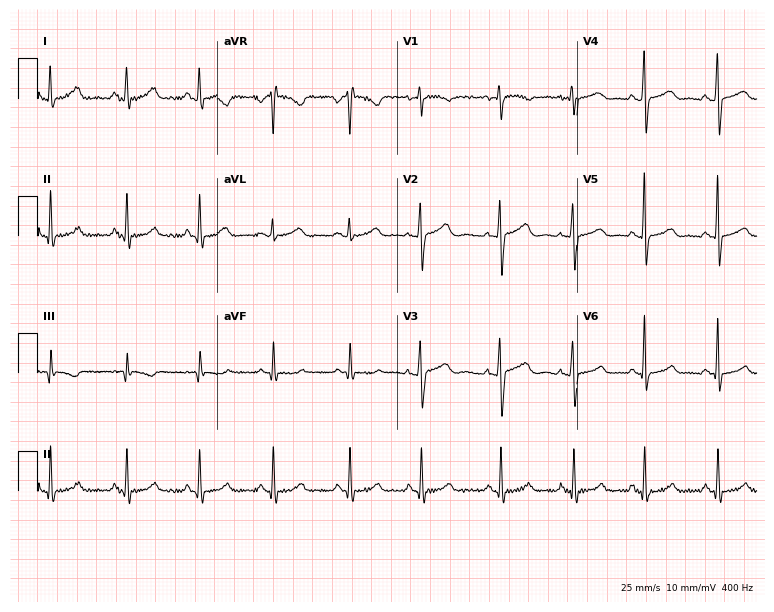
Electrocardiogram, a 23-year-old female patient. Overall reading on record: normal ECG.